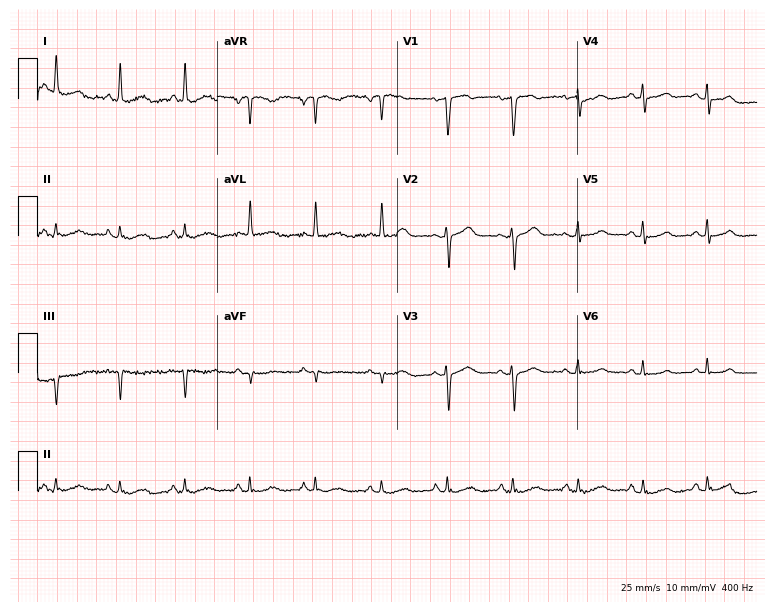
12-lead ECG (7.3-second recording at 400 Hz) from a female patient, 69 years old. Labelled as a normal ECG.